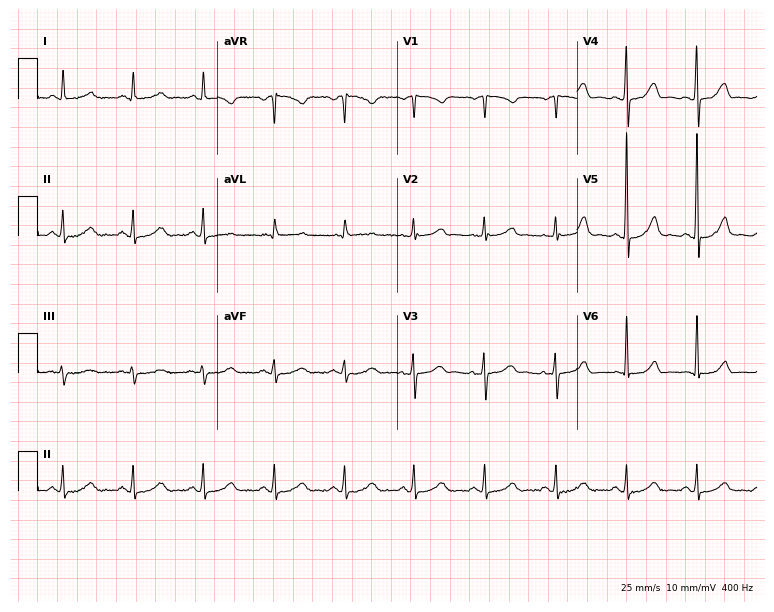
12-lead ECG from a 42-year-old woman (7.3-second recording at 400 Hz). Recorded interpretation: within normal limits.